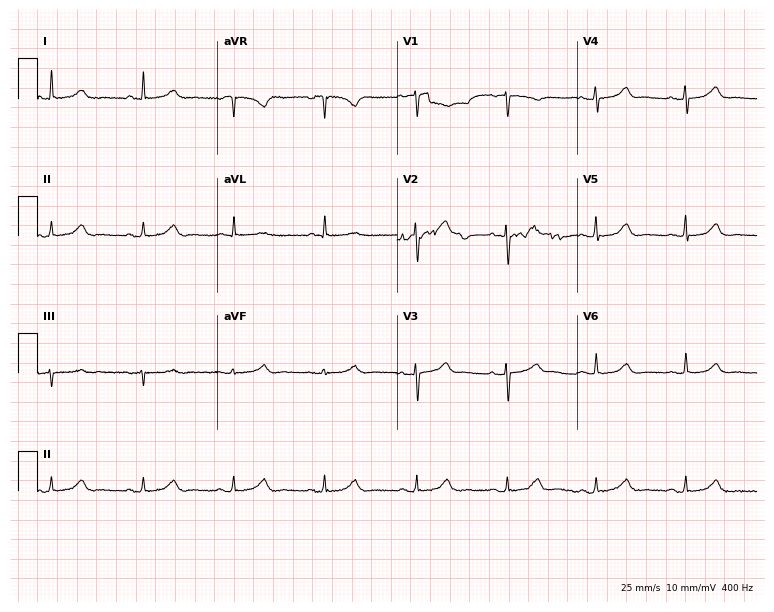
12-lead ECG from a 62-year-old man (7.3-second recording at 400 Hz). No first-degree AV block, right bundle branch block, left bundle branch block, sinus bradycardia, atrial fibrillation or sinus tachycardia recorded for this tracing.